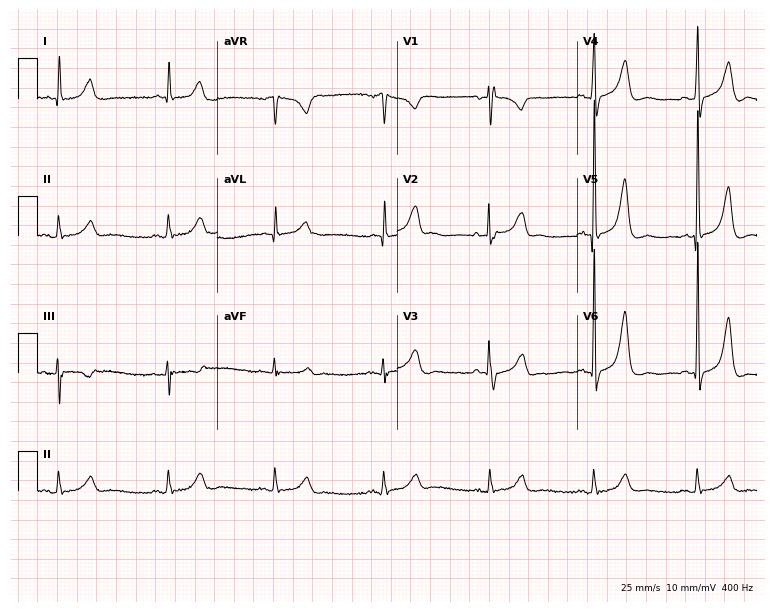
Electrocardiogram, a male, 80 years old. Of the six screened findings (first-degree AV block, right bundle branch block (RBBB), left bundle branch block (LBBB), sinus bradycardia, atrial fibrillation (AF), sinus tachycardia), none is recorded. Other findings, if any, are not listed.